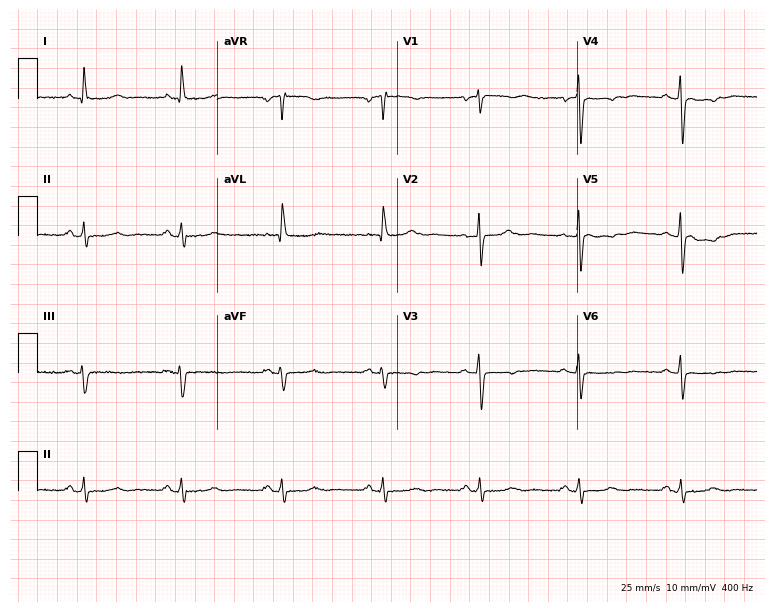
12-lead ECG from a 56-year-old woman. No first-degree AV block, right bundle branch block, left bundle branch block, sinus bradycardia, atrial fibrillation or sinus tachycardia recorded for this tracing. Other findings, if any, are not listed.